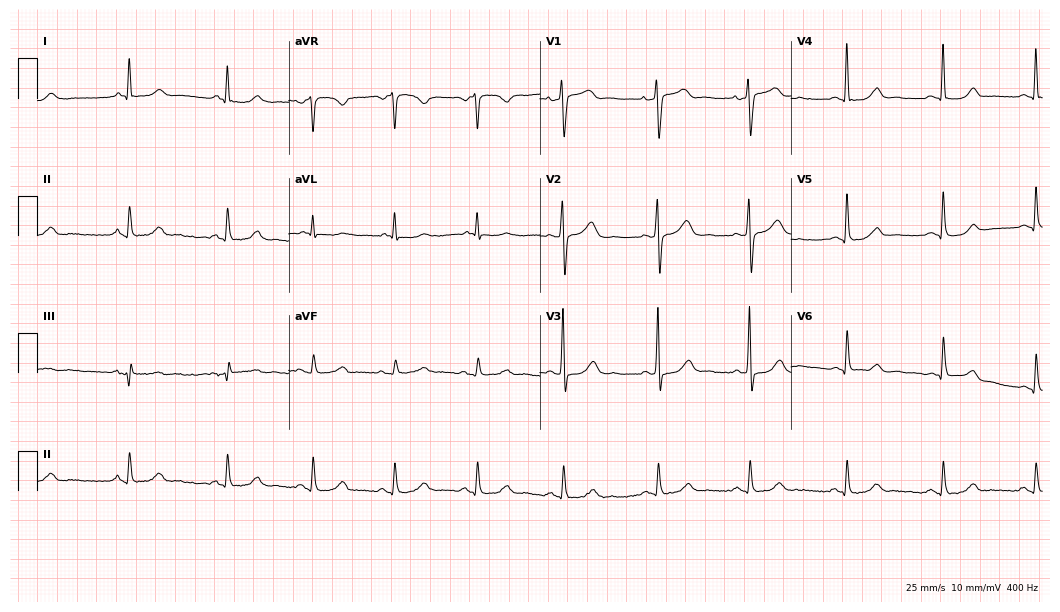
12-lead ECG from a 65-year-old woman. Recorded interpretation: within normal limits.